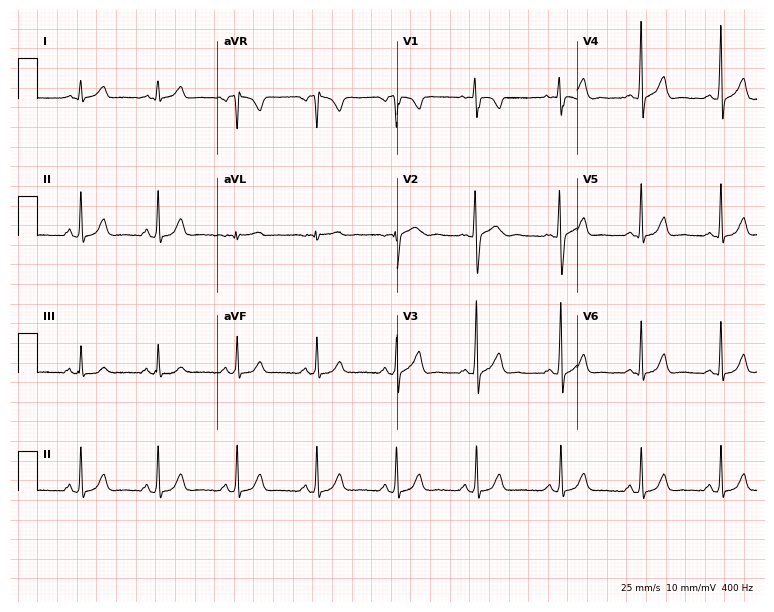
12-lead ECG from a female, 28 years old. Recorded interpretation: within normal limits.